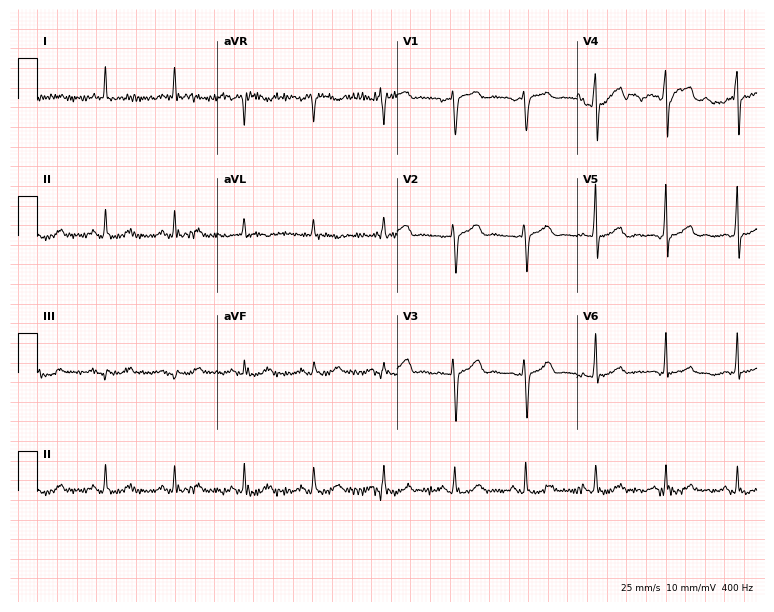
12-lead ECG from a 67-year-old female patient. No first-degree AV block, right bundle branch block (RBBB), left bundle branch block (LBBB), sinus bradycardia, atrial fibrillation (AF) or sinus tachycardia recorded for this tracing.